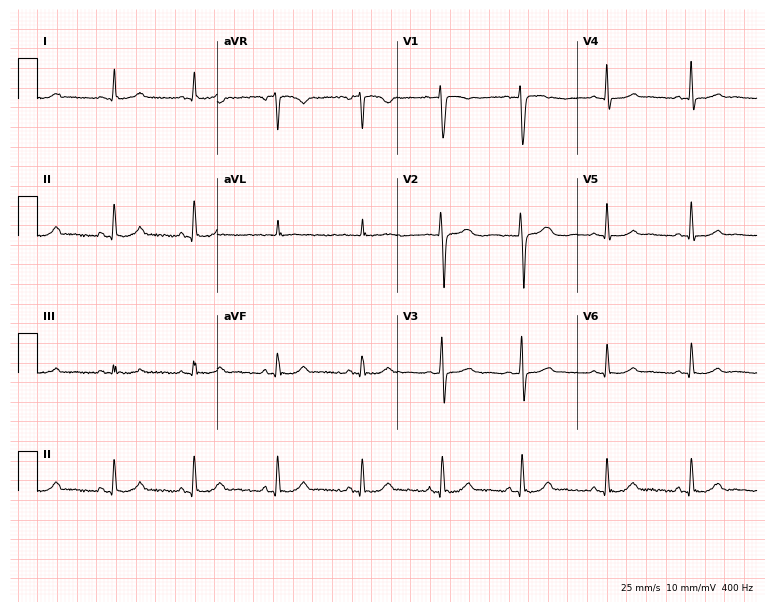
ECG — a 26-year-old woman. Labelled as a normal ECG.